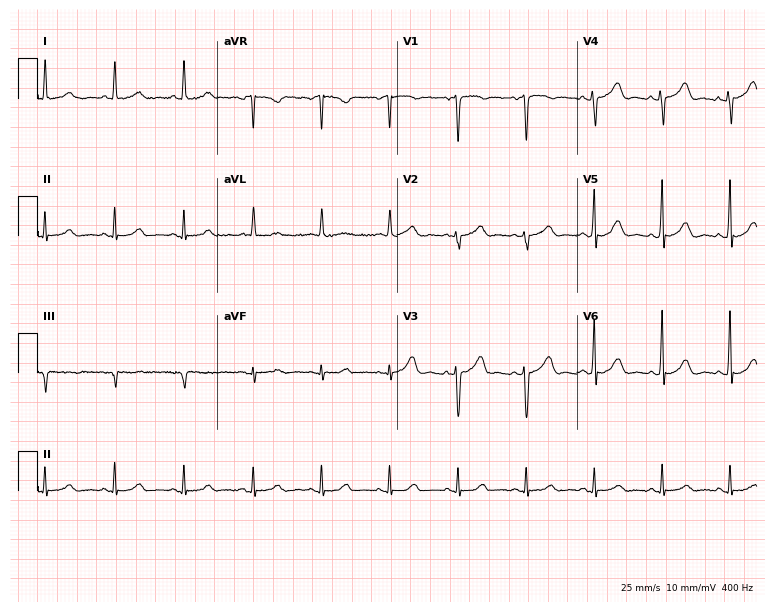
Resting 12-lead electrocardiogram (7.3-second recording at 400 Hz). Patient: a 75-year-old female. Read as a normal ECG.